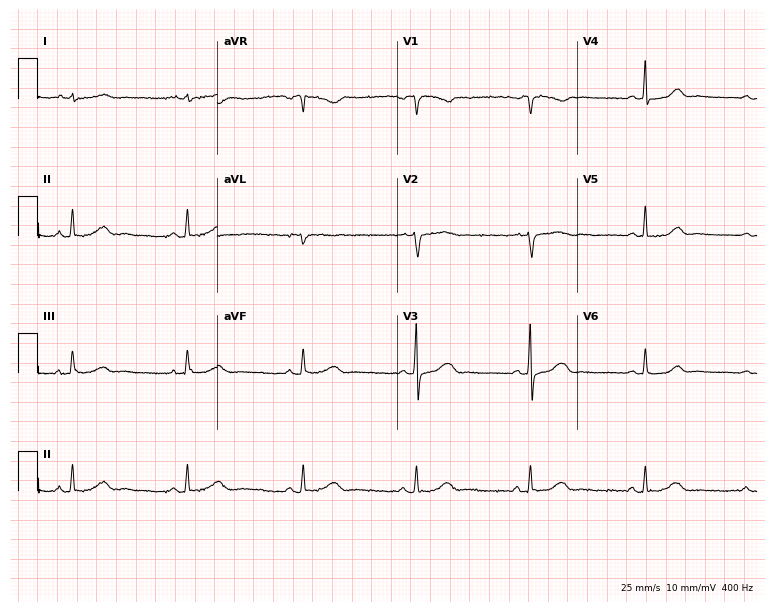
12-lead ECG (7.3-second recording at 400 Hz) from a female, 59 years old. Labelled as a normal ECG.